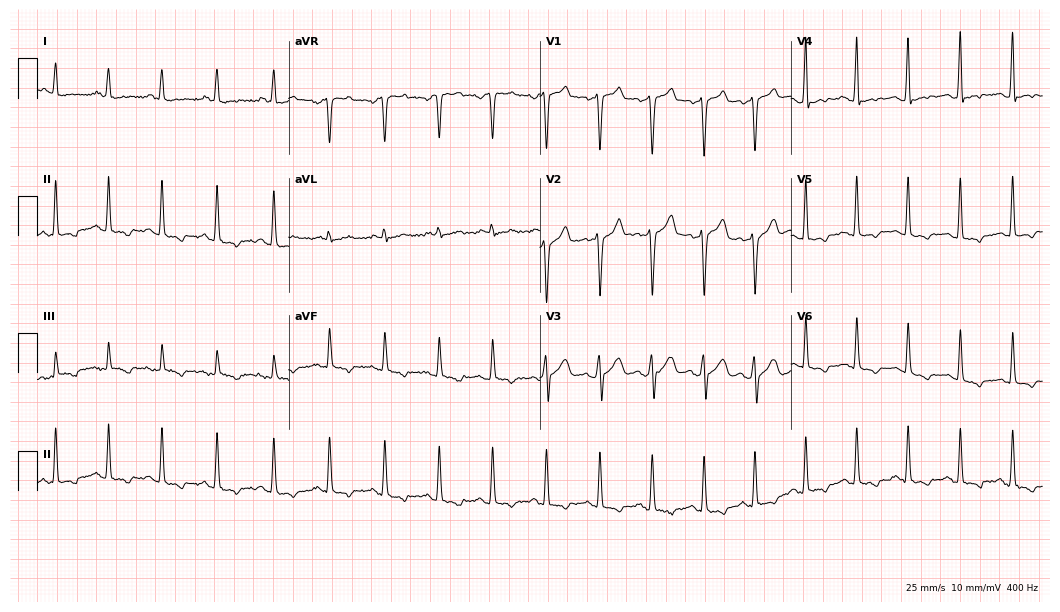
Resting 12-lead electrocardiogram. Patient: a male, 30 years old. The tracing shows sinus tachycardia (a sinus rate of 100 beats per minute or more).